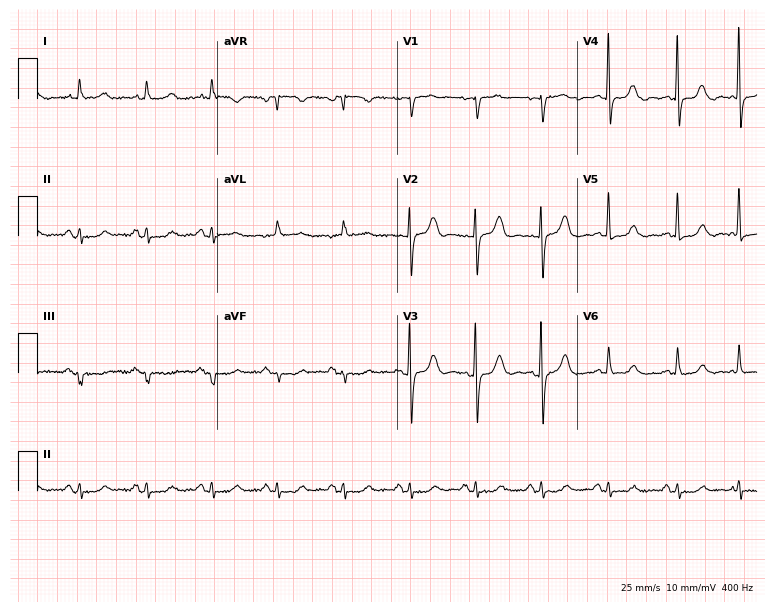
12-lead ECG (7.3-second recording at 400 Hz) from a woman, 77 years old. Screened for six findings — first-degree AV block, right bundle branch block, left bundle branch block, sinus bradycardia, atrial fibrillation, sinus tachycardia — none is recorded.